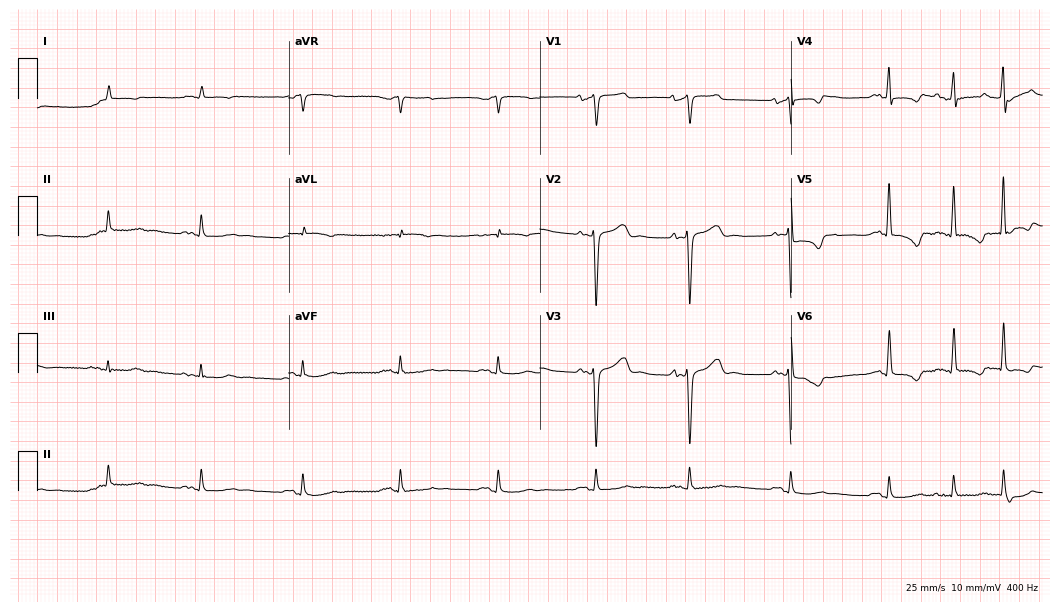
12-lead ECG (10.2-second recording at 400 Hz) from a man, 83 years old. Screened for six findings — first-degree AV block, right bundle branch block, left bundle branch block, sinus bradycardia, atrial fibrillation, sinus tachycardia — none is recorded.